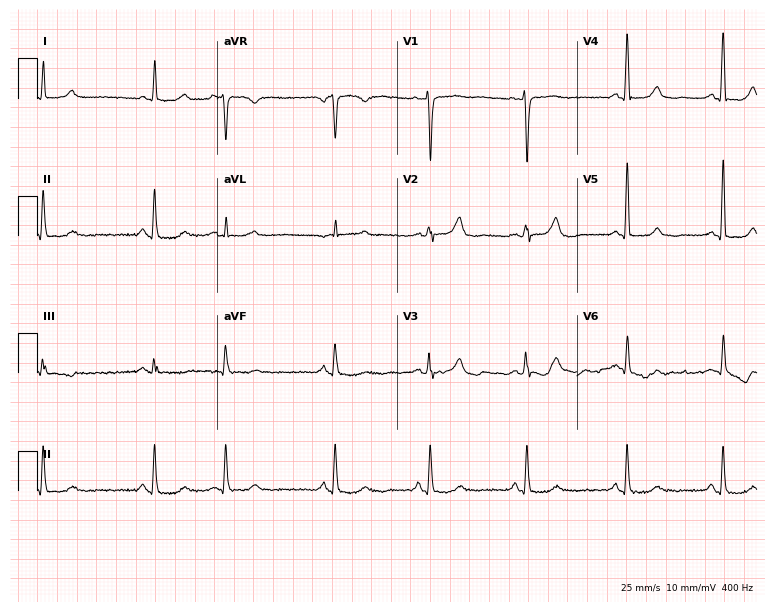
12-lead ECG from a female, 54 years old. No first-degree AV block, right bundle branch block, left bundle branch block, sinus bradycardia, atrial fibrillation or sinus tachycardia recorded for this tracing.